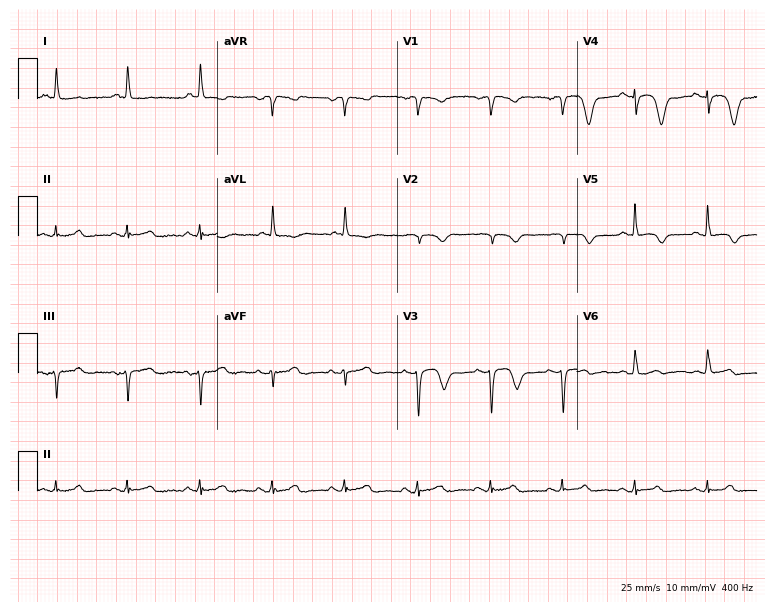
Electrocardiogram, a 70-year-old female patient. Of the six screened findings (first-degree AV block, right bundle branch block, left bundle branch block, sinus bradycardia, atrial fibrillation, sinus tachycardia), none is recorded.